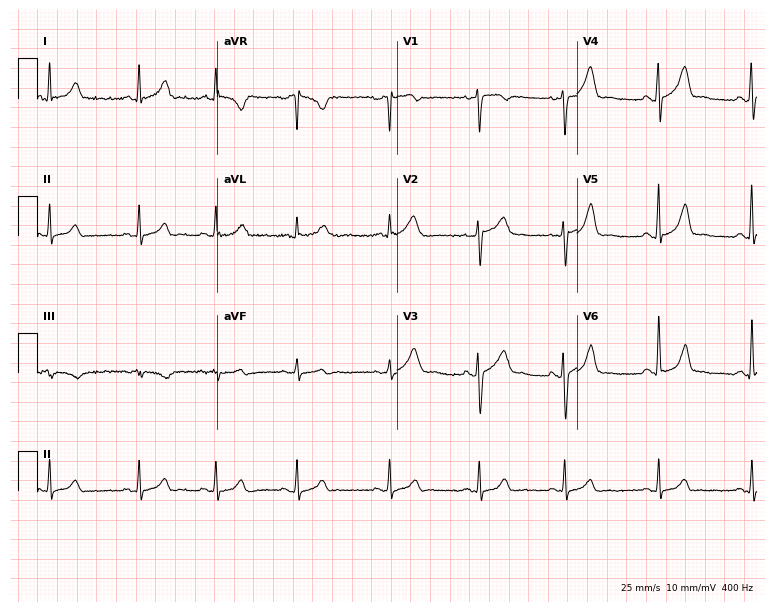
12-lead ECG from a woman, 31 years old (7.3-second recording at 400 Hz). Recorded interpretation: within normal limits.